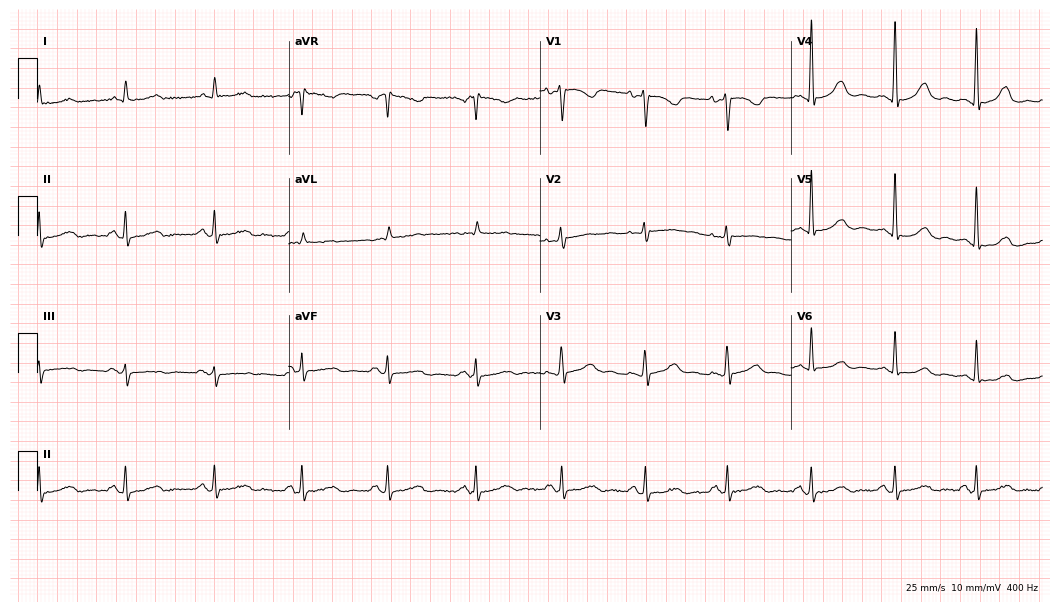
ECG — a 78-year-old female. Screened for six findings — first-degree AV block, right bundle branch block (RBBB), left bundle branch block (LBBB), sinus bradycardia, atrial fibrillation (AF), sinus tachycardia — none is recorded.